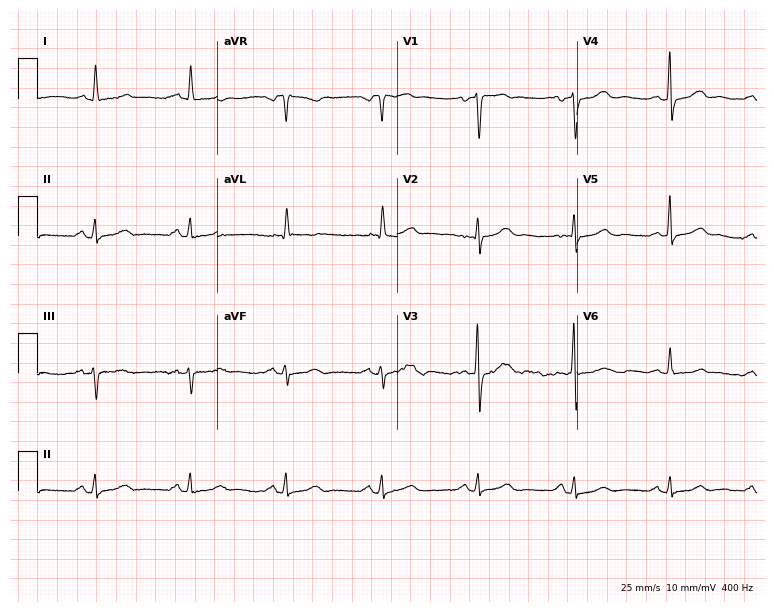
Resting 12-lead electrocardiogram. Patient: a female, 62 years old. Read as a normal ECG.